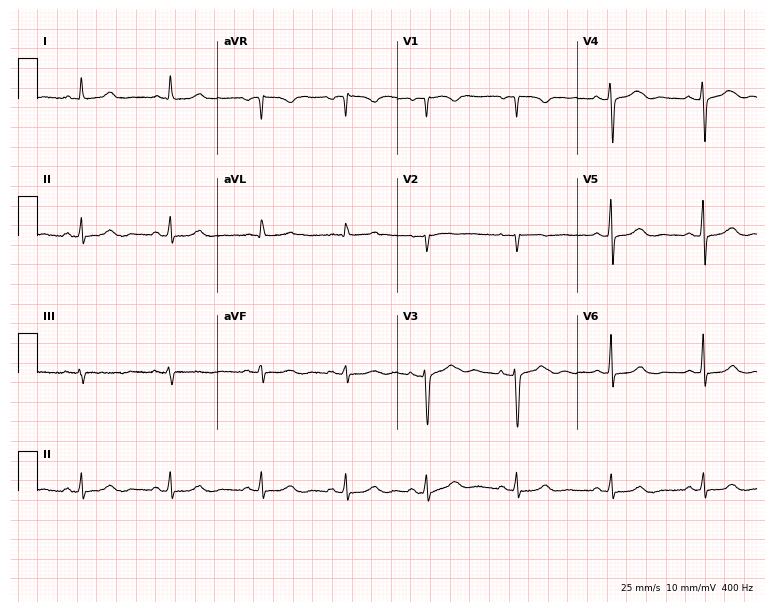
12-lead ECG from a female, 29 years old. Screened for six findings — first-degree AV block, right bundle branch block, left bundle branch block, sinus bradycardia, atrial fibrillation, sinus tachycardia — none is recorded. Other findings, if any, are not listed.